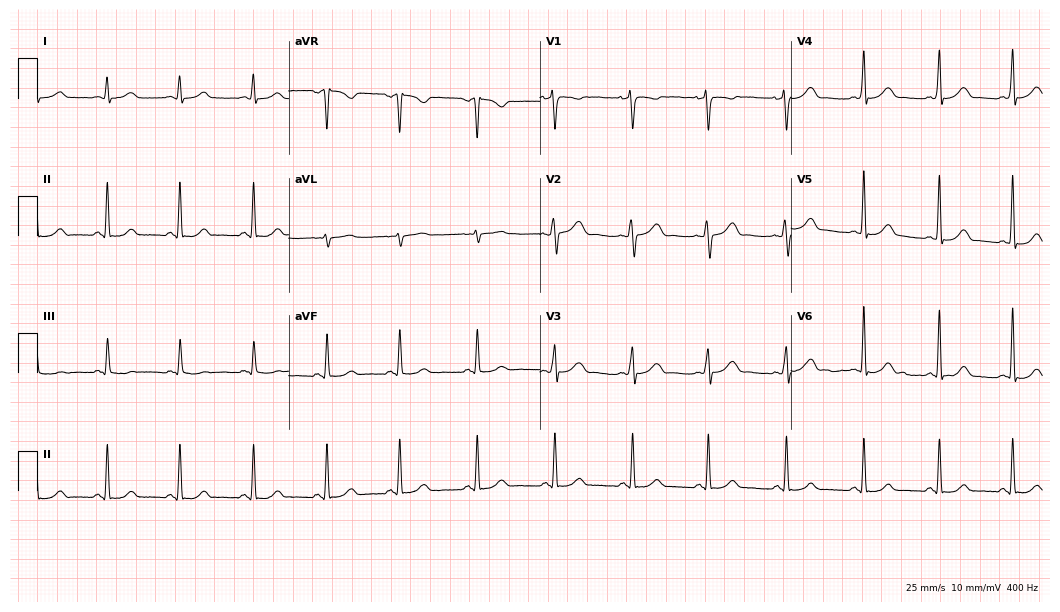
Resting 12-lead electrocardiogram. Patient: a female, 34 years old. Read as a normal ECG.